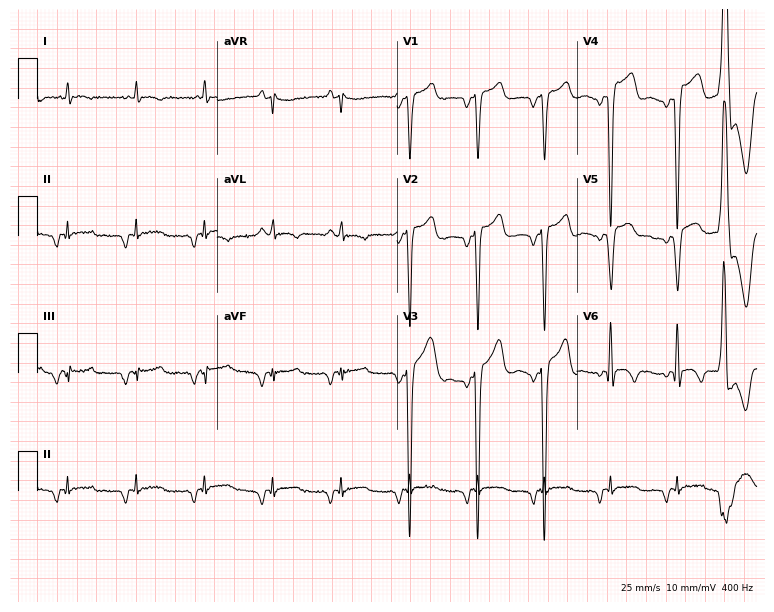
Electrocardiogram, a male, 76 years old. Of the six screened findings (first-degree AV block, right bundle branch block, left bundle branch block, sinus bradycardia, atrial fibrillation, sinus tachycardia), none is recorded. Findings outside these six are not listed.